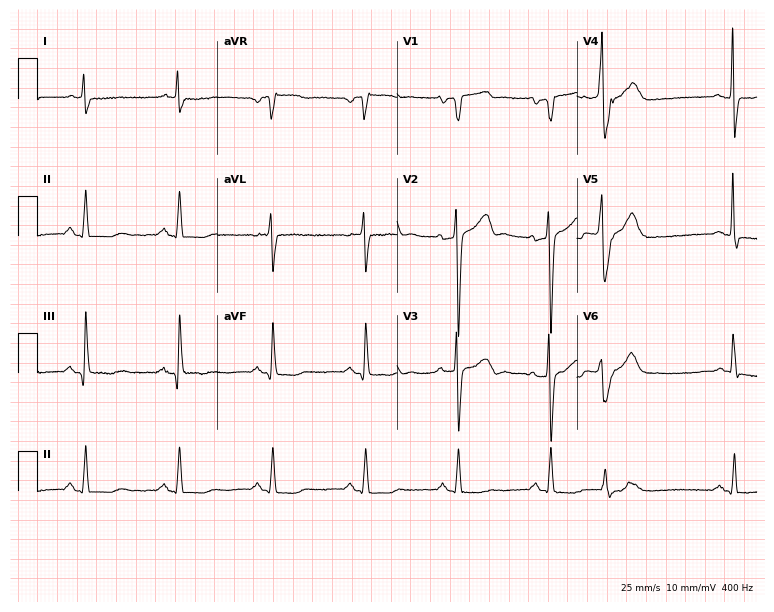
12-lead ECG from a 64-year-old male patient. No first-degree AV block, right bundle branch block (RBBB), left bundle branch block (LBBB), sinus bradycardia, atrial fibrillation (AF) or sinus tachycardia recorded for this tracing.